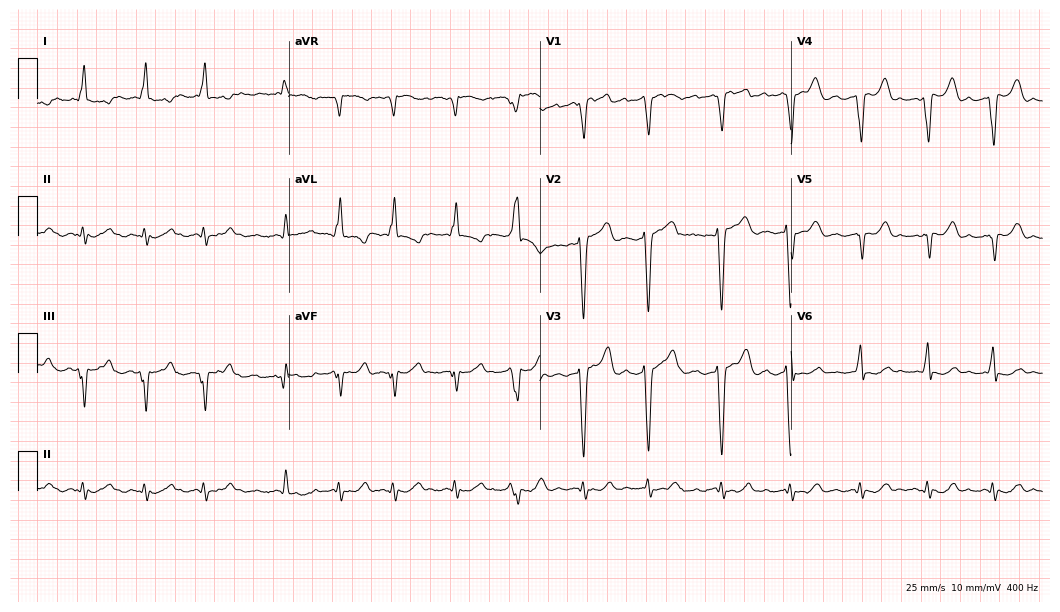
Resting 12-lead electrocardiogram. Patient: a 73-year-old male. The tracing shows atrial fibrillation.